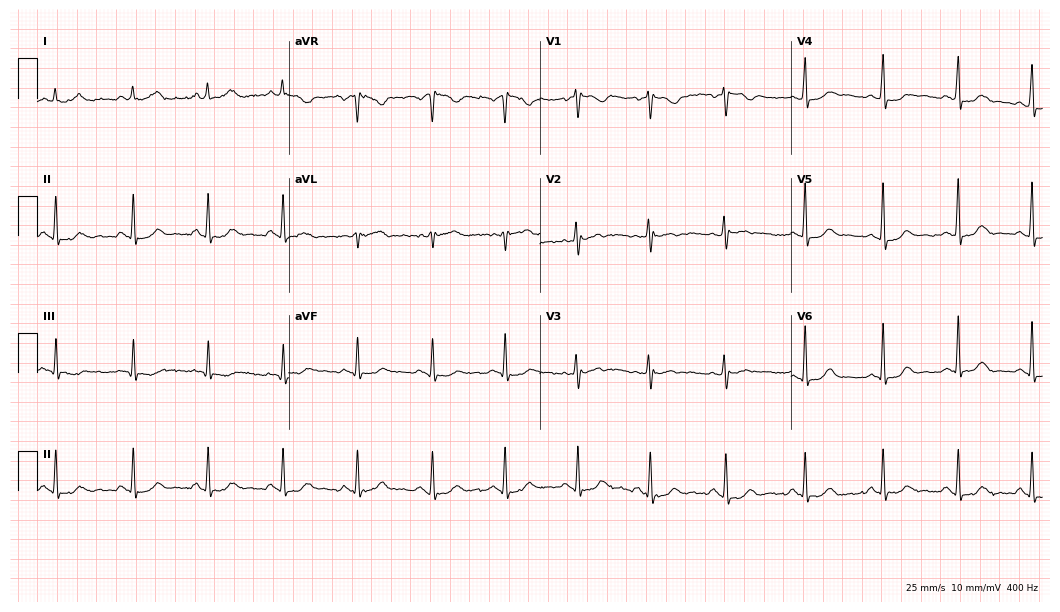
12-lead ECG (10.2-second recording at 400 Hz) from a 33-year-old female. Screened for six findings — first-degree AV block, right bundle branch block, left bundle branch block, sinus bradycardia, atrial fibrillation, sinus tachycardia — none is recorded. Findings outside these six are not listed.